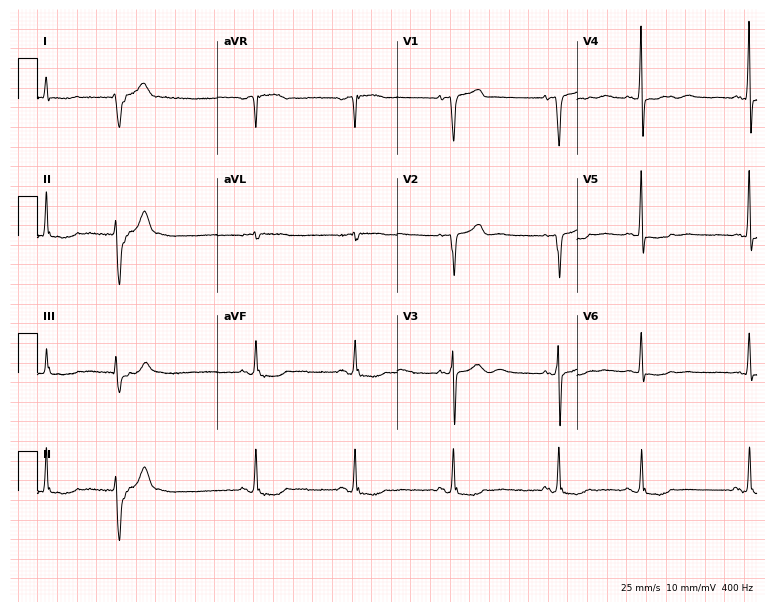
Resting 12-lead electrocardiogram. Patient: a 75-year-old female. None of these six findings is recorded: first-degree AV block, right bundle branch block, left bundle branch block, sinus bradycardia, atrial fibrillation, sinus tachycardia.